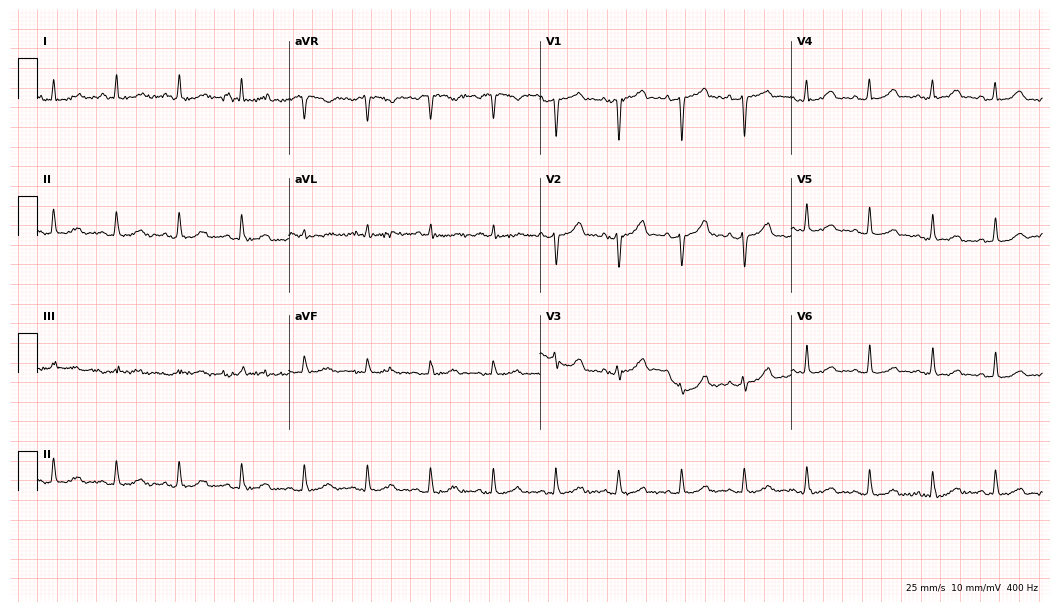
ECG (10.2-second recording at 400 Hz) — a female patient, 56 years old. Screened for six findings — first-degree AV block, right bundle branch block (RBBB), left bundle branch block (LBBB), sinus bradycardia, atrial fibrillation (AF), sinus tachycardia — none is recorded. Other findings, if any, are not listed.